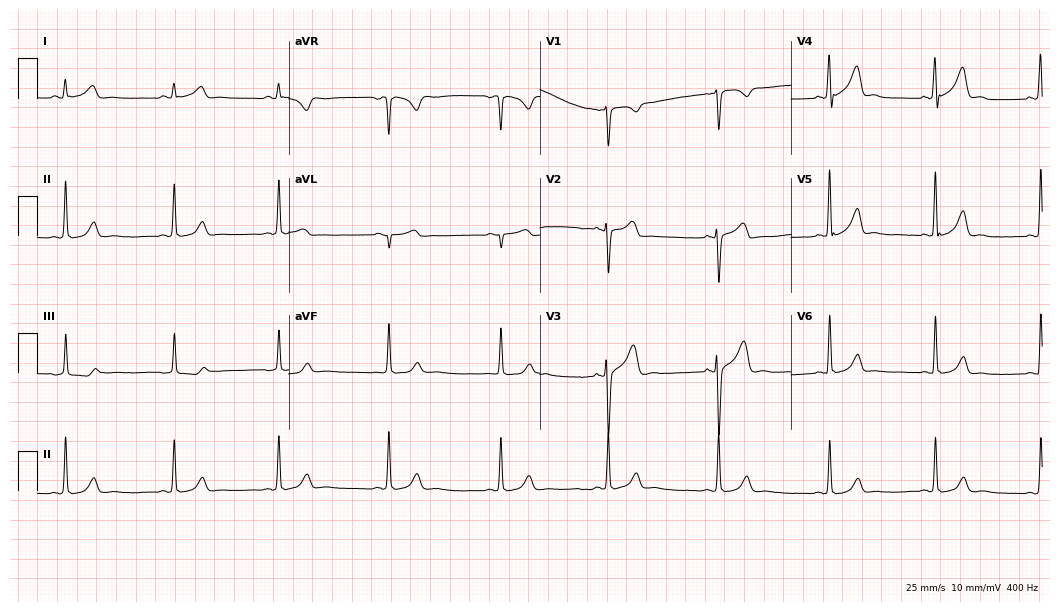
Resting 12-lead electrocardiogram (10.2-second recording at 400 Hz). Patient: a 35-year-old man. Read as a normal ECG.